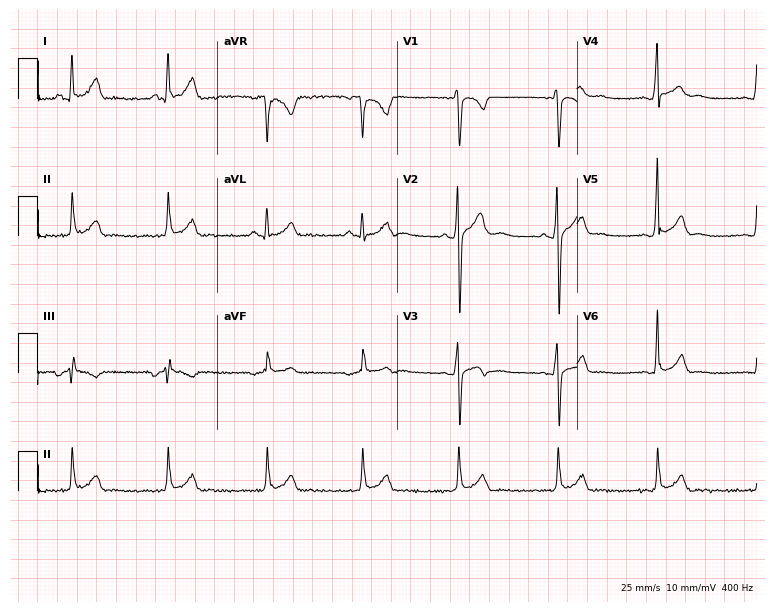
12-lead ECG from a male patient, 20 years old. Recorded interpretation: within normal limits.